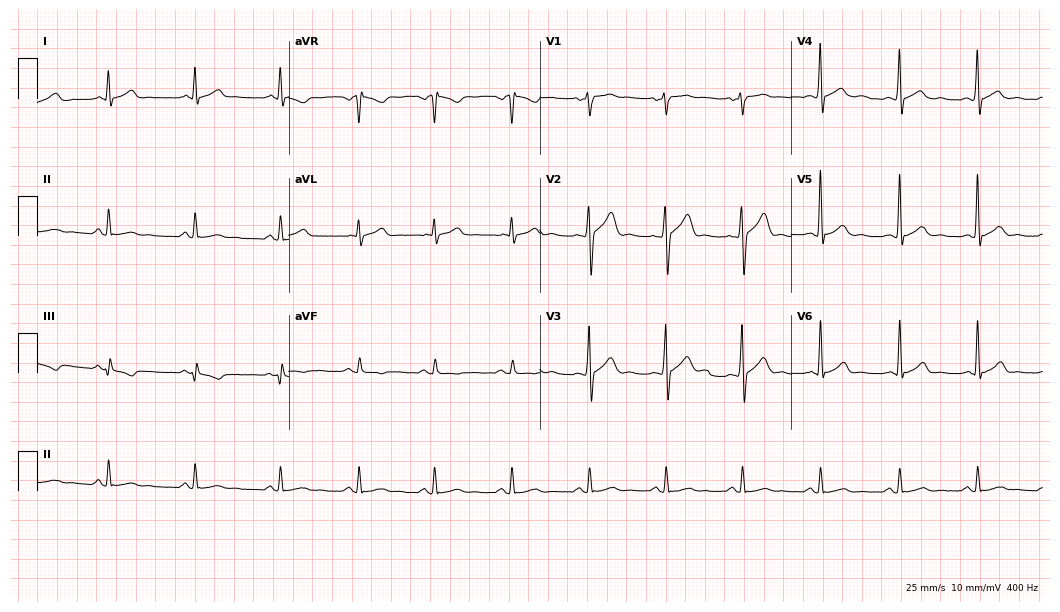
Electrocardiogram, a 46-year-old male. Of the six screened findings (first-degree AV block, right bundle branch block (RBBB), left bundle branch block (LBBB), sinus bradycardia, atrial fibrillation (AF), sinus tachycardia), none is recorded. Other findings, if any, are not listed.